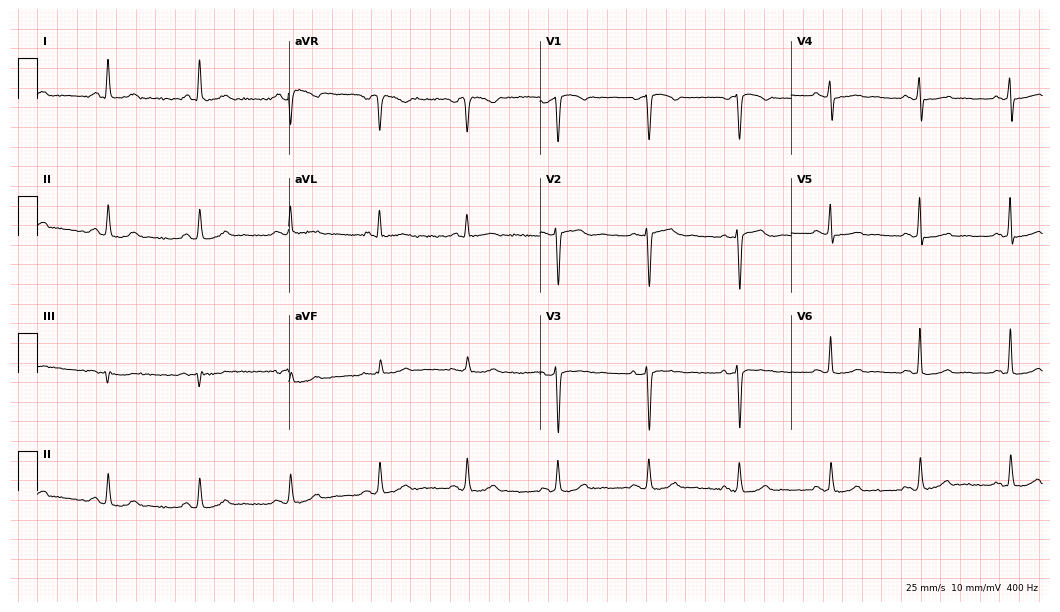
Resting 12-lead electrocardiogram (10.2-second recording at 400 Hz). Patient: a female, 68 years old. Read as a normal ECG.